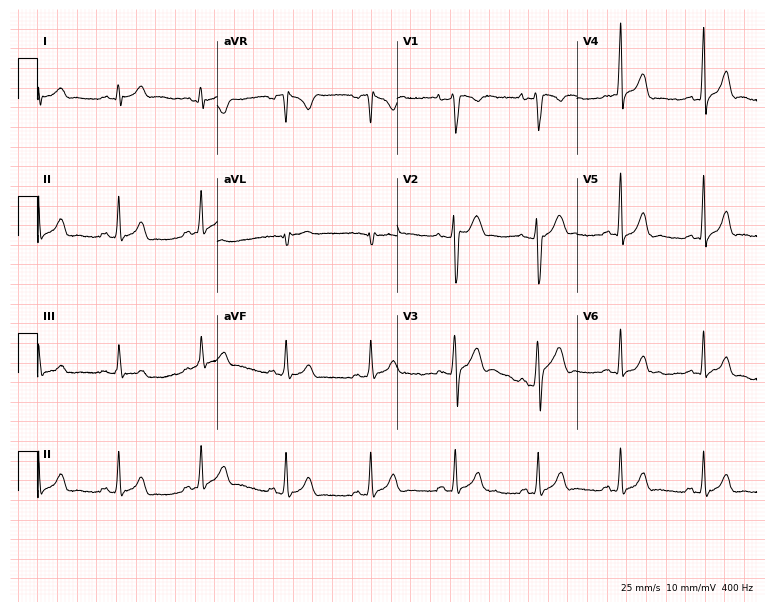
12-lead ECG from a male patient, 23 years old (7.3-second recording at 400 Hz). No first-degree AV block, right bundle branch block, left bundle branch block, sinus bradycardia, atrial fibrillation or sinus tachycardia recorded for this tracing.